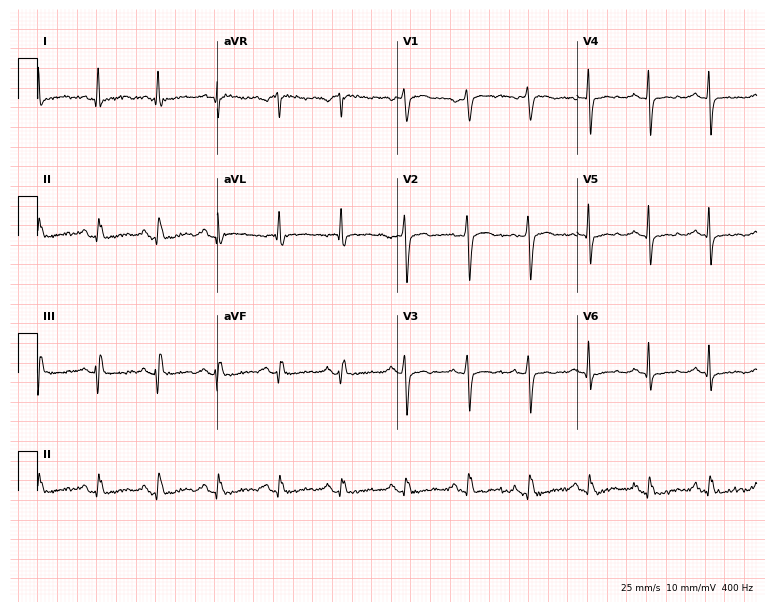
ECG (7.3-second recording at 400 Hz) — a 62-year-old female. Screened for six findings — first-degree AV block, right bundle branch block, left bundle branch block, sinus bradycardia, atrial fibrillation, sinus tachycardia — none is recorded. Only these six findings were labelled.